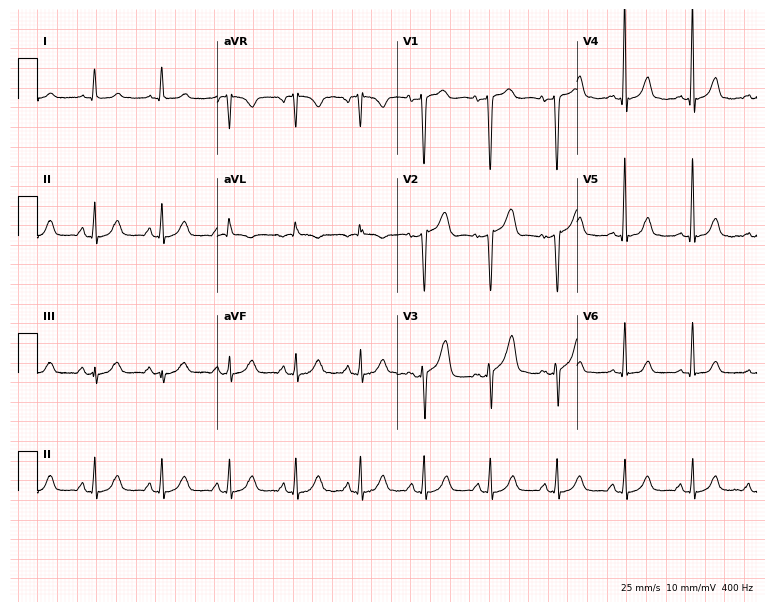
ECG (7.3-second recording at 400 Hz) — a 50-year-old woman. Labelled as a normal ECG.